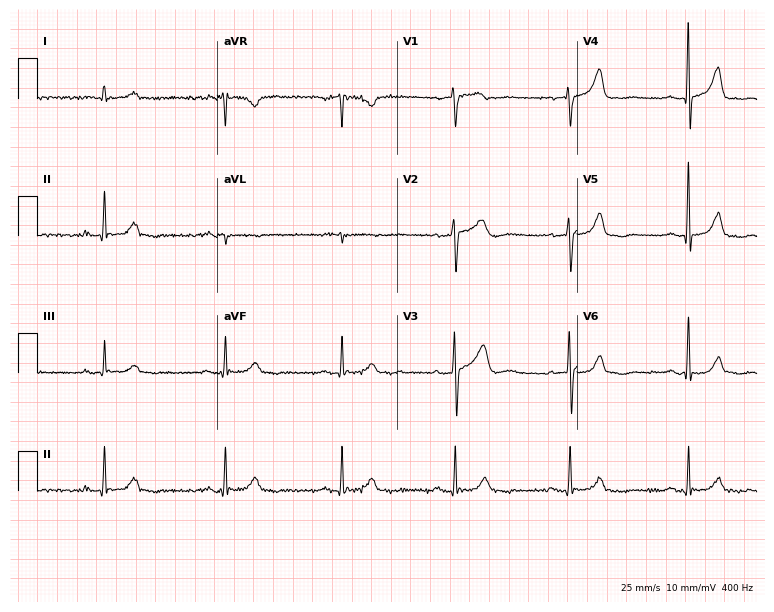
Standard 12-lead ECG recorded from a male, 76 years old. Read as a normal ECG.